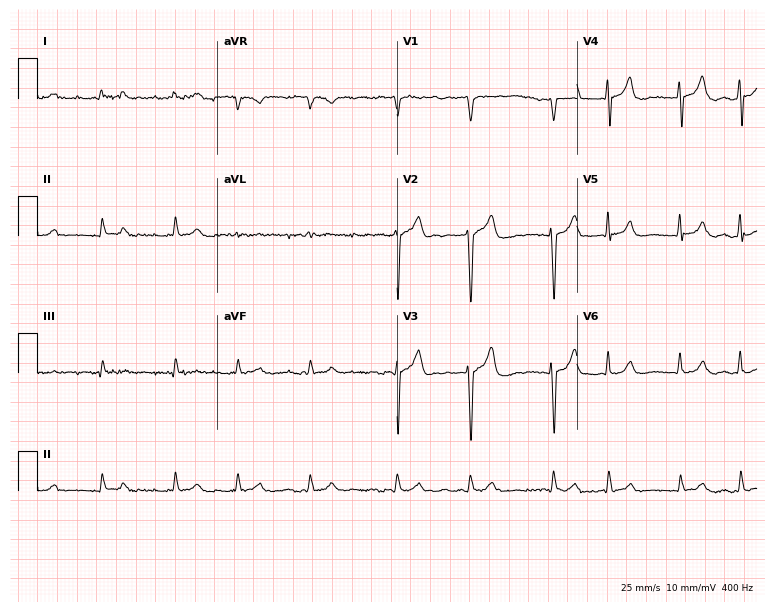
12-lead ECG (7.3-second recording at 400 Hz) from a male, 71 years old. Findings include atrial fibrillation.